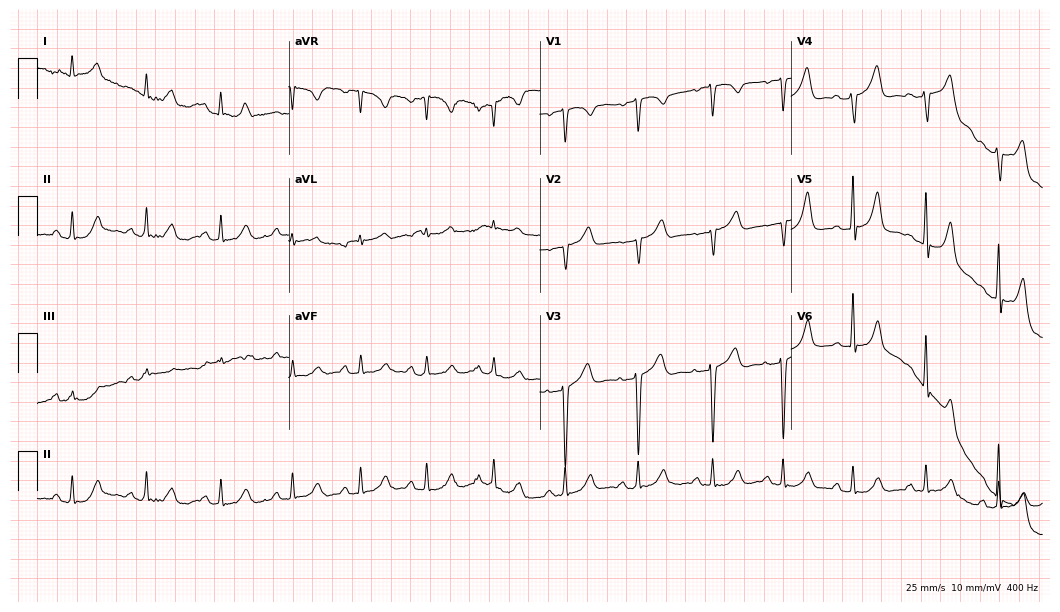
Standard 12-lead ECG recorded from a male patient, 46 years old (10.2-second recording at 400 Hz). None of these six findings is recorded: first-degree AV block, right bundle branch block, left bundle branch block, sinus bradycardia, atrial fibrillation, sinus tachycardia. Only these six findings were labelled.